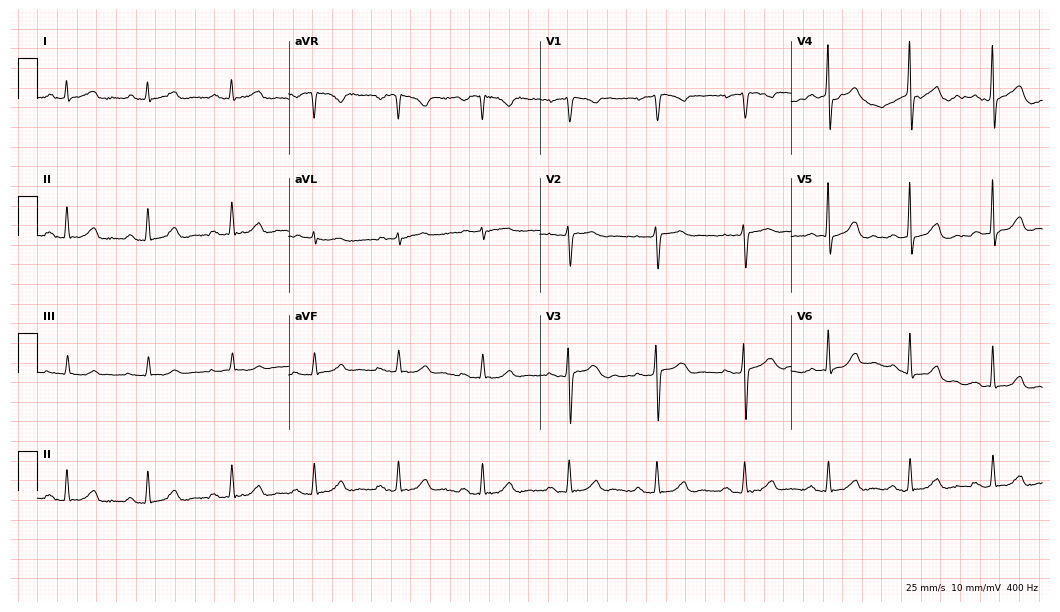
Standard 12-lead ECG recorded from a 43-year-old woman. Read as a normal ECG.